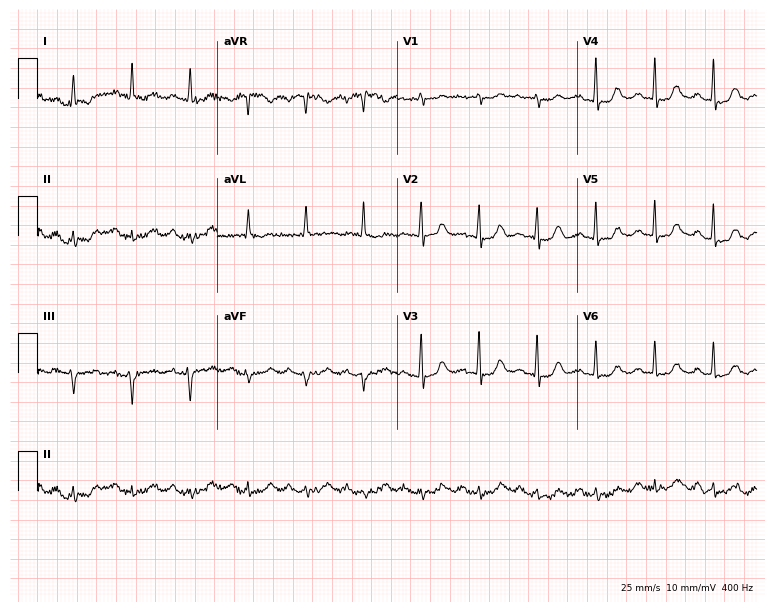
ECG (7.3-second recording at 400 Hz) — an 82-year-old woman. Screened for six findings — first-degree AV block, right bundle branch block (RBBB), left bundle branch block (LBBB), sinus bradycardia, atrial fibrillation (AF), sinus tachycardia — none is recorded.